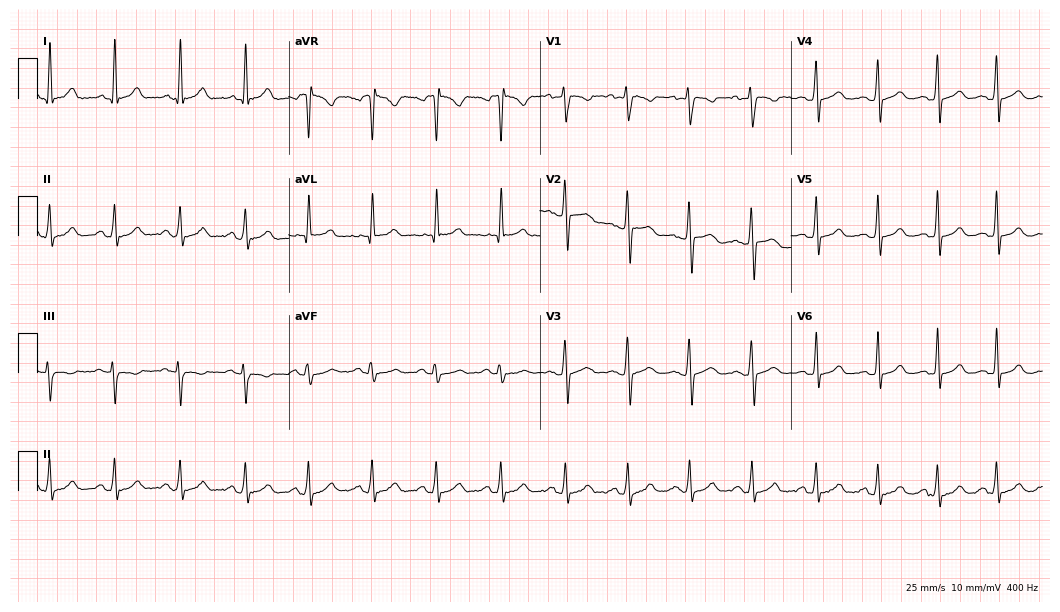
12-lead ECG from a 19-year-old female patient. No first-degree AV block, right bundle branch block, left bundle branch block, sinus bradycardia, atrial fibrillation or sinus tachycardia recorded for this tracing. Only these six findings were labelled.